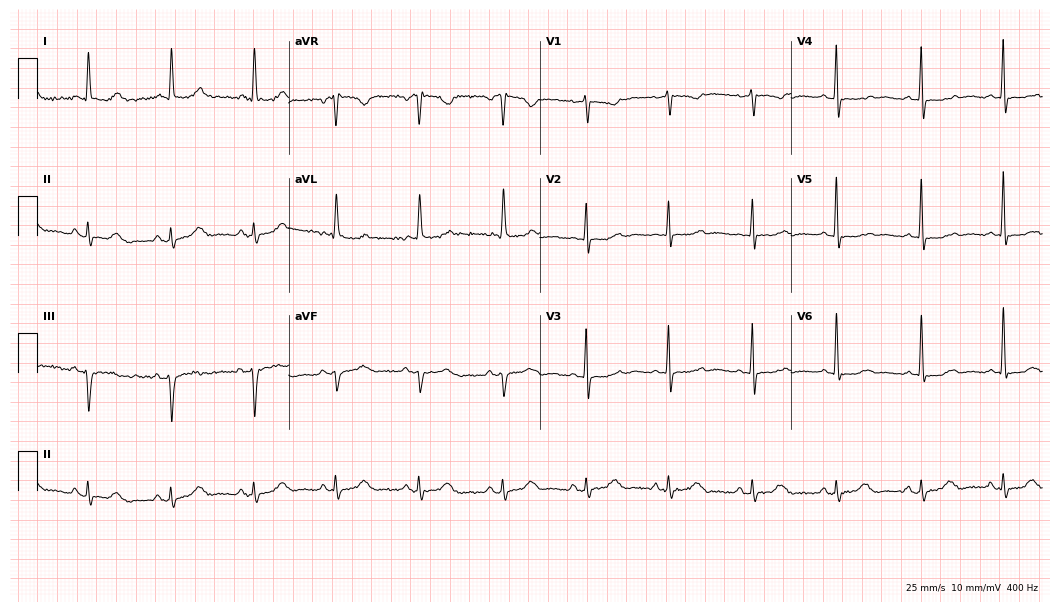
12-lead ECG from a woman, 85 years old. Screened for six findings — first-degree AV block, right bundle branch block, left bundle branch block, sinus bradycardia, atrial fibrillation, sinus tachycardia — none is recorded.